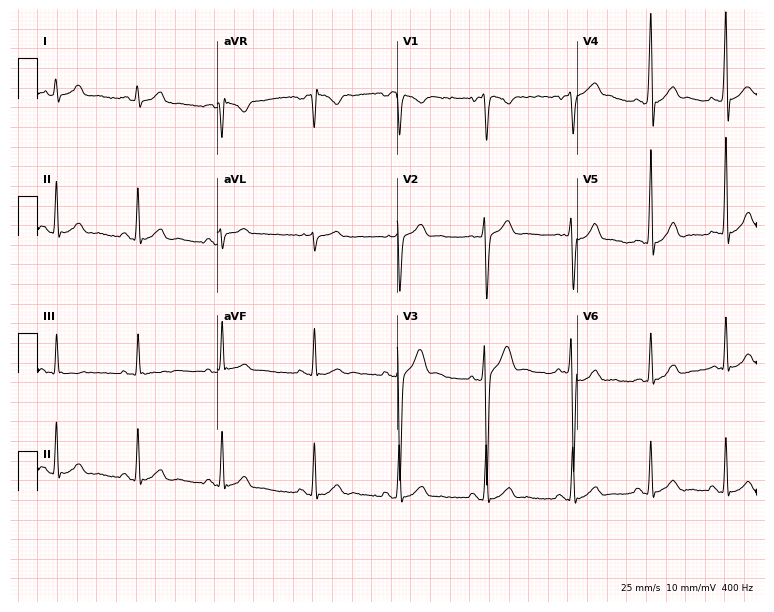
Resting 12-lead electrocardiogram (7.3-second recording at 400 Hz). Patient: a male, 24 years old. None of these six findings is recorded: first-degree AV block, right bundle branch block, left bundle branch block, sinus bradycardia, atrial fibrillation, sinus tachycardia. Only these six findings were labelled.